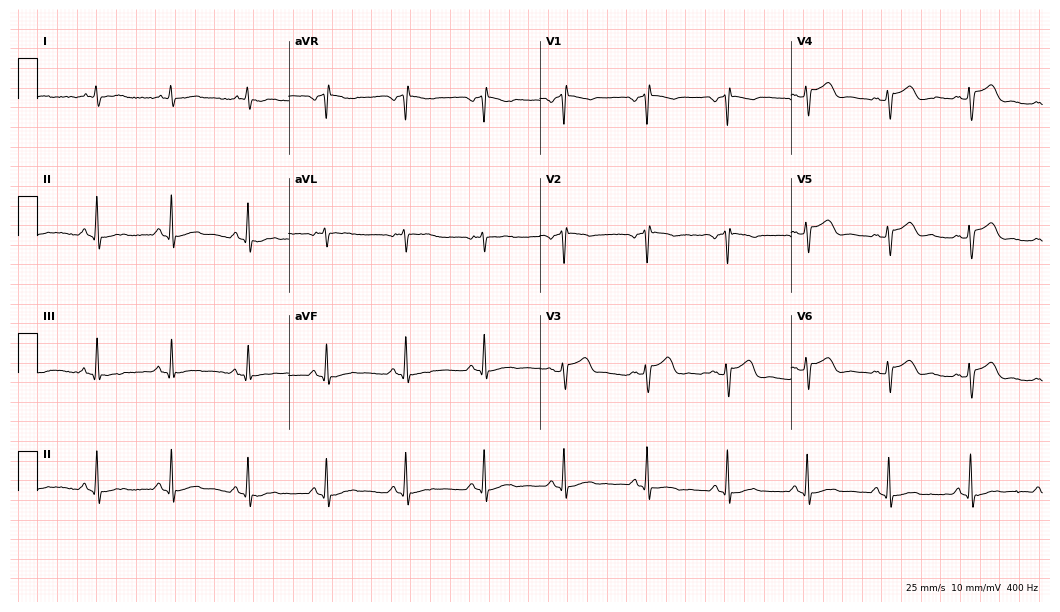
12-lead ECG from a male, 70 years old (10.2-second recording at 400 Hz). No first-degree AV block, right bundle branch block, left bundle branch block, sinus bradycardia, atrial fibrillation or sinus tachycardia recorded for this tracing. Only these six findings were labelled.